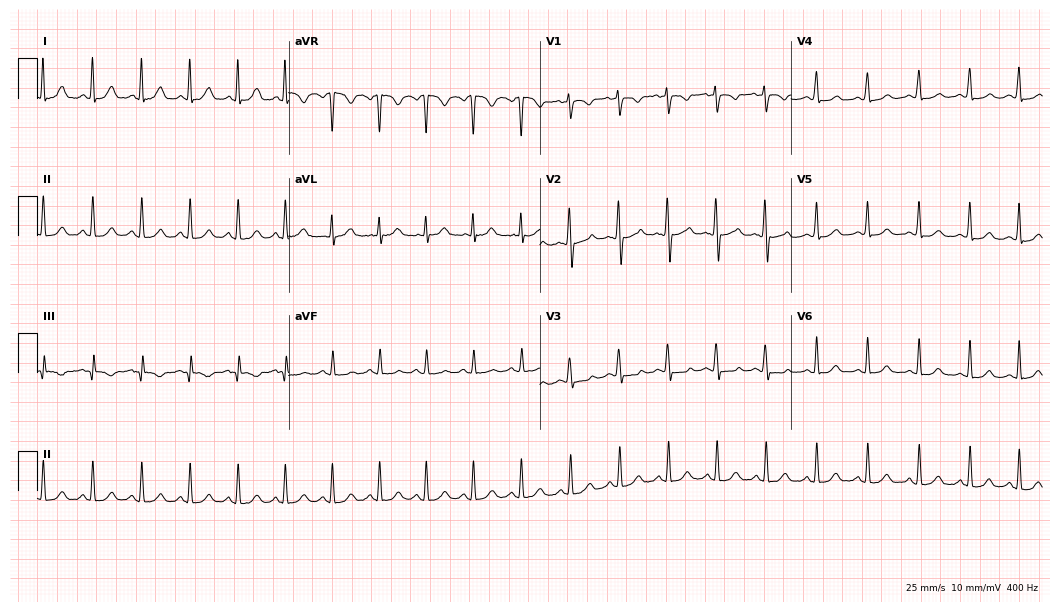
12-lead ECG from a female, 24 years old. Shows sinus tachycardia (a sinus rate of 100 beats per minute or more).